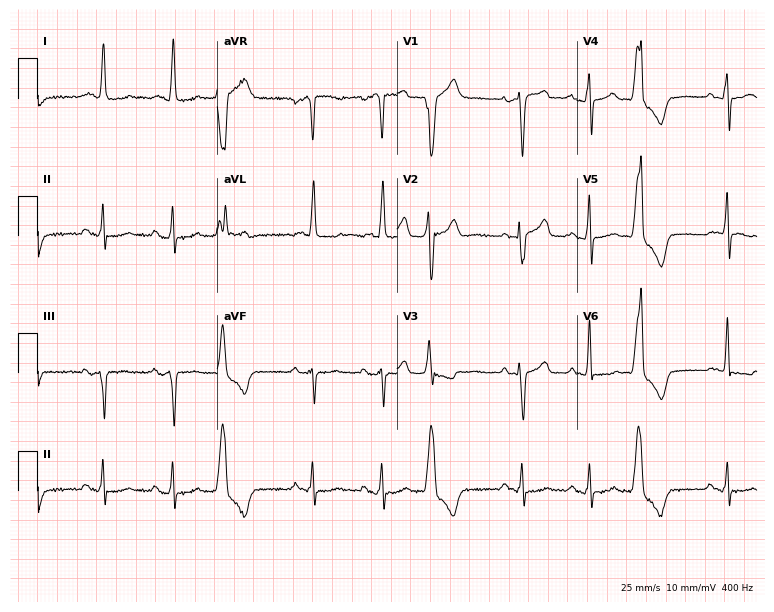
12-lead ECG from a 79-year-old female patient. Screened for six findings — first-degree AV block, right bundle branch block, left bundle branch block, sinus bradycardia, atrial fibrillation, sinus tachycardia — none is recorded. Findings outside these six are not listed.